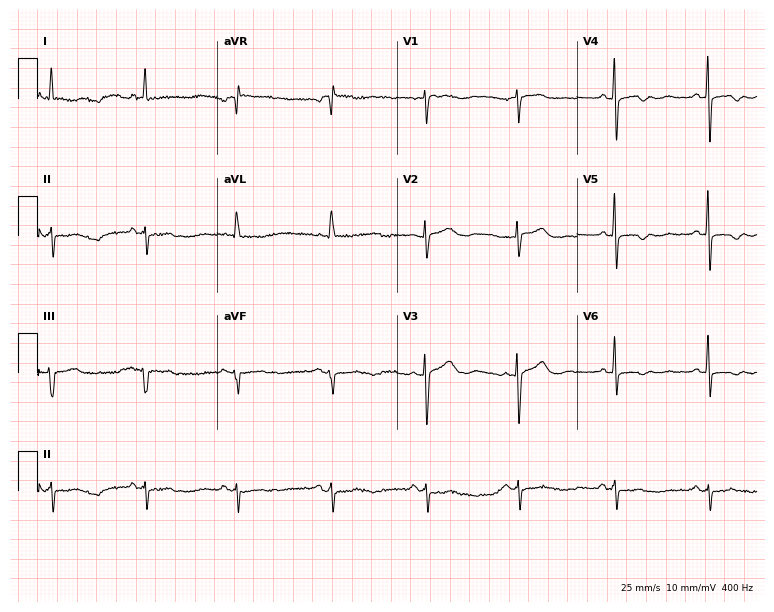
Standard 12-lead ECG recorded from a female patient, 74 years old. None of these six findings is recorded: first-degree AV block, right bundle branch block (RBBB), left bundle branch block (LBBB), sinus bradycardia, atrial fibrillation (AF), sinus tachycardia.